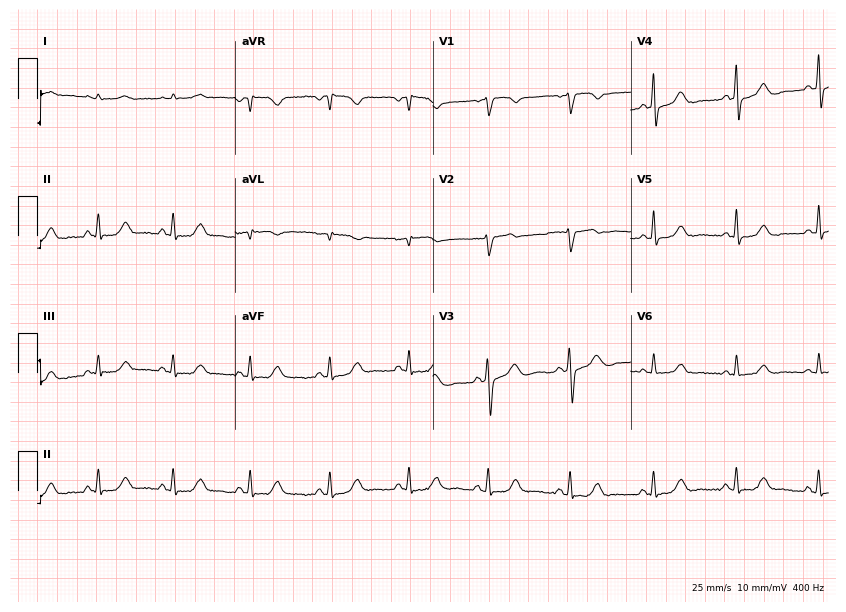
Standard 12-lead ECG recorded from a female patient, 54 years old. None of these six findings is recorded: first-degree AV block, right bundle branch block (RBBB), left bundle branch block (LBBB), sinus bradycardia, atrial fibrillation (AF), sinus tachycardia. Other findings, if any, are not listed.